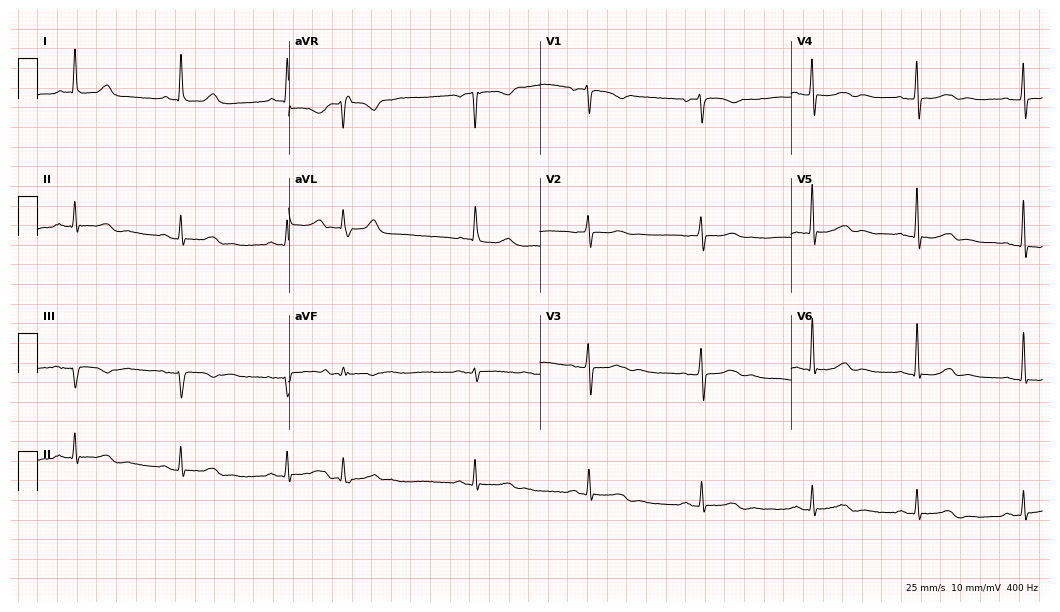
Resting 12-lead electrocardiogram. Patient: a female, 73 years old. Read as a normal ECG.